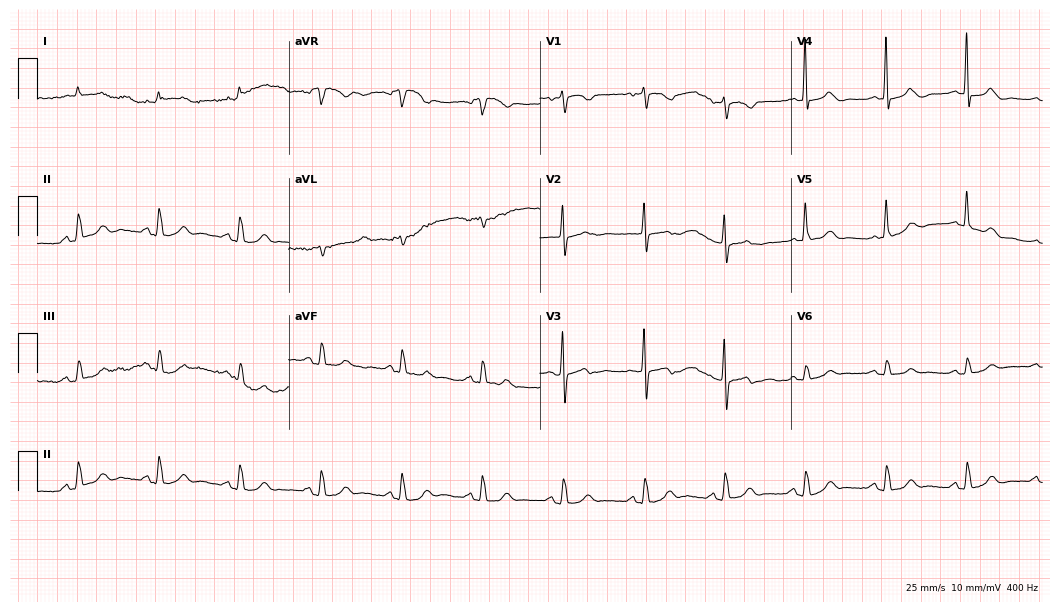
ECG — an 82-year-old male patient. Labelled as a normal ECG.